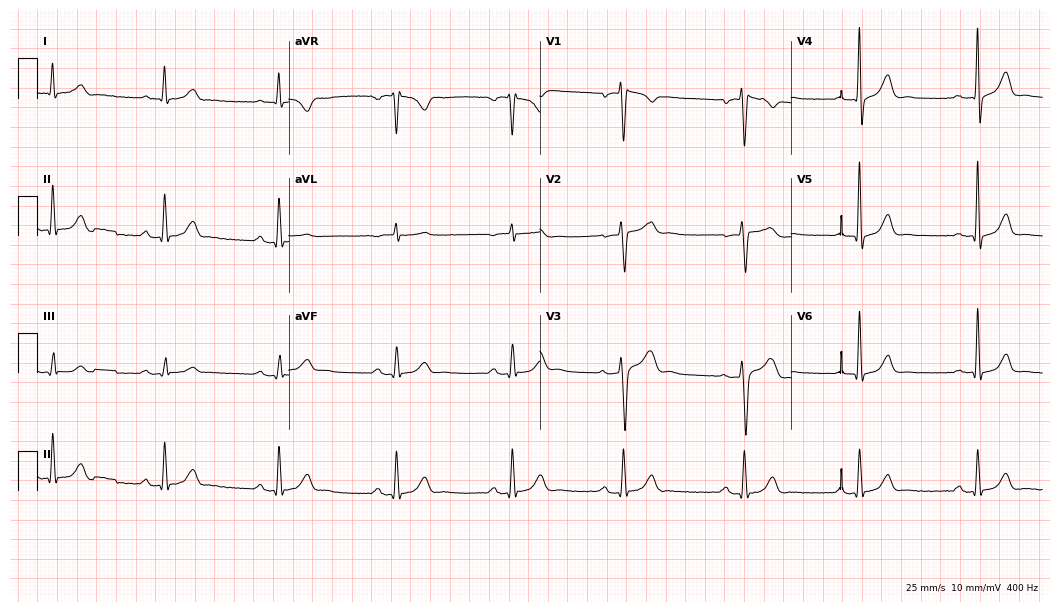
12-lead ECG from a male patient, 50 years old. Labelled as a normal ECG.